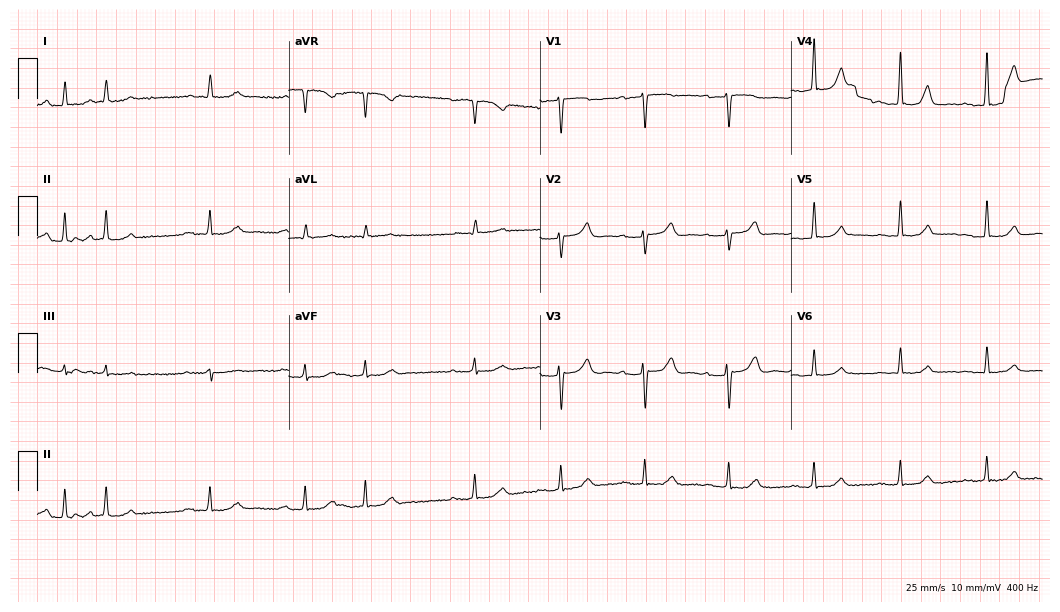
Electrocardiogram (10.2-second recording at 400 Hz), a male patient, 85 years old. Interpretation includes first-degree AV block.